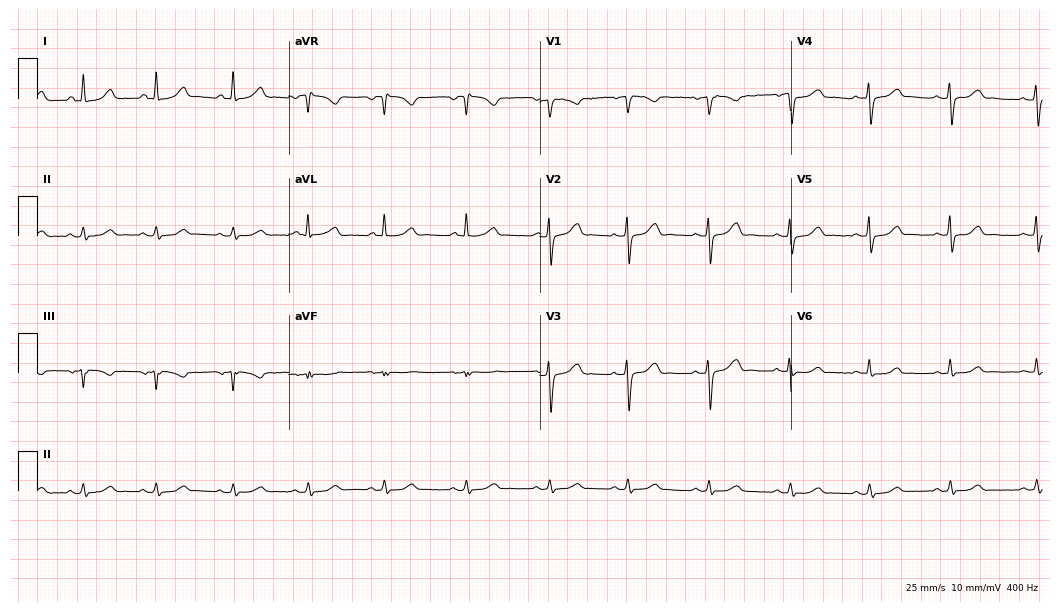
Resting 12-lead electrocardiogram. Patient: a woman, 37 years old. Read as a normal ECG.